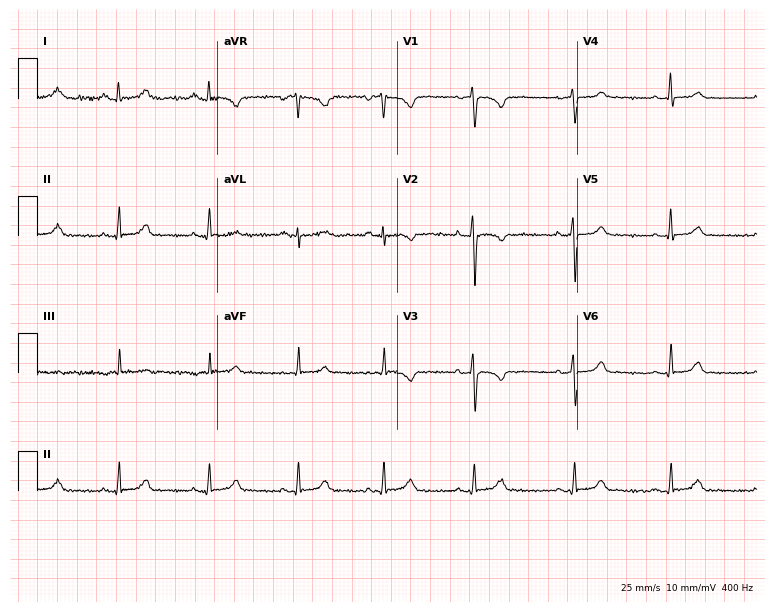
12-lead ECG from a female patient, 19 years old (7.3-second recording at 400 Hz). Recorded interpretation: within normal limits.